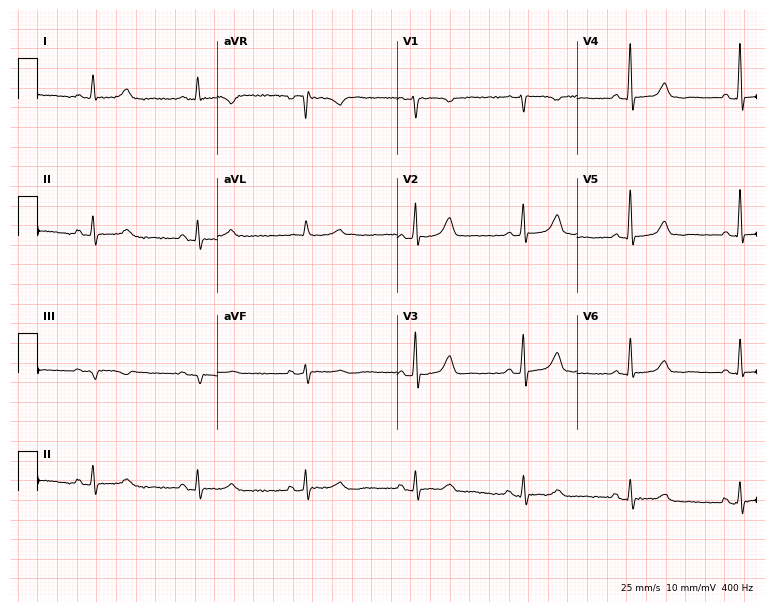
12-lead ECG (7.3-second recording at 400 Hz) from a female, 72 years old. Screened for six findings — first-degree AV block, right bundle branch block (RBBB), left bundle branch block (LBBB), sinus bradycardia, atrial fibrillation (AF), sinus tachycardia — none is recorded.